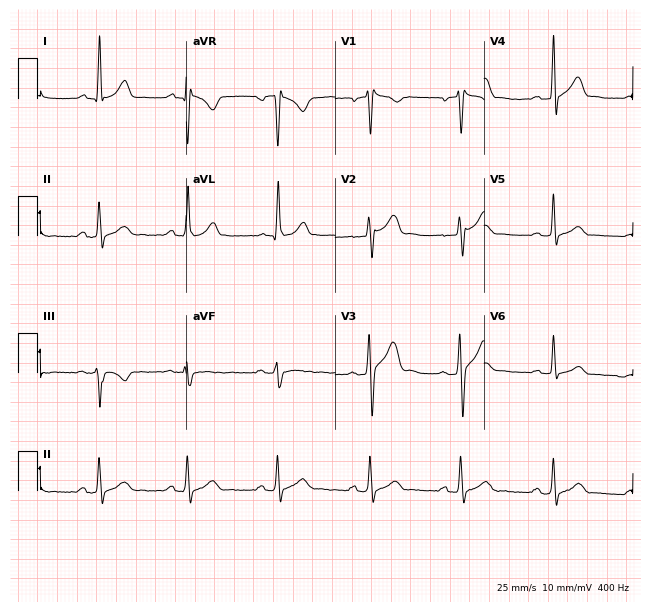
Electrocardiogram, a 43-year-old male patient. Of the six screened findings (first-degree AV block, right bundle branch block (RBBB), left bundle branch block (LBBB), sinus bradycardia, atrial fibrillation (AF), sinus tachycardia), none is recorded. Only these six findings were labelled.